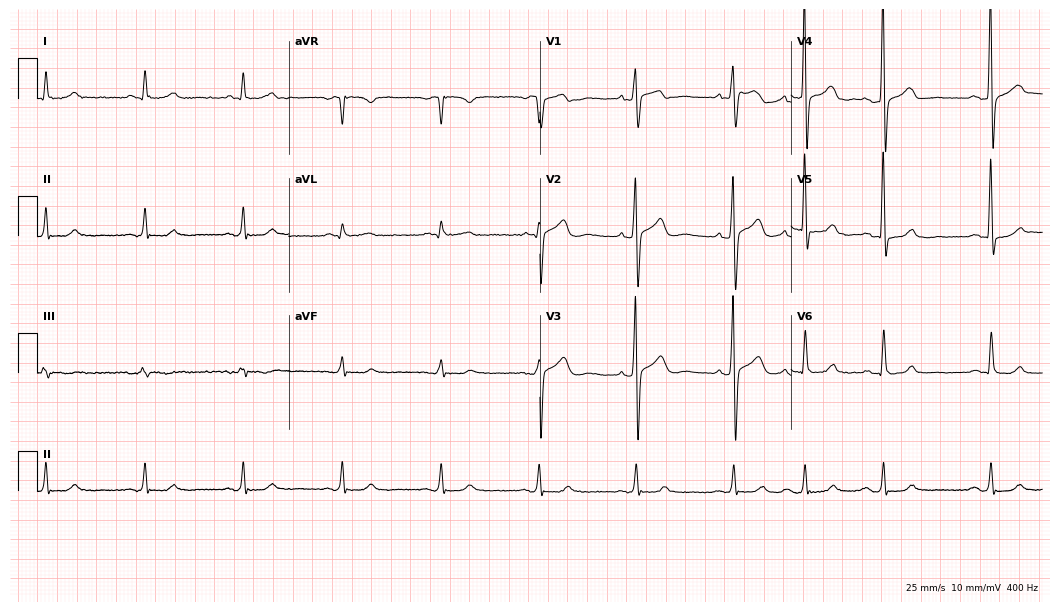
Resting 12-lead electrocardiogram. Patient: a male, 77 years old. Read as a normal ECG.